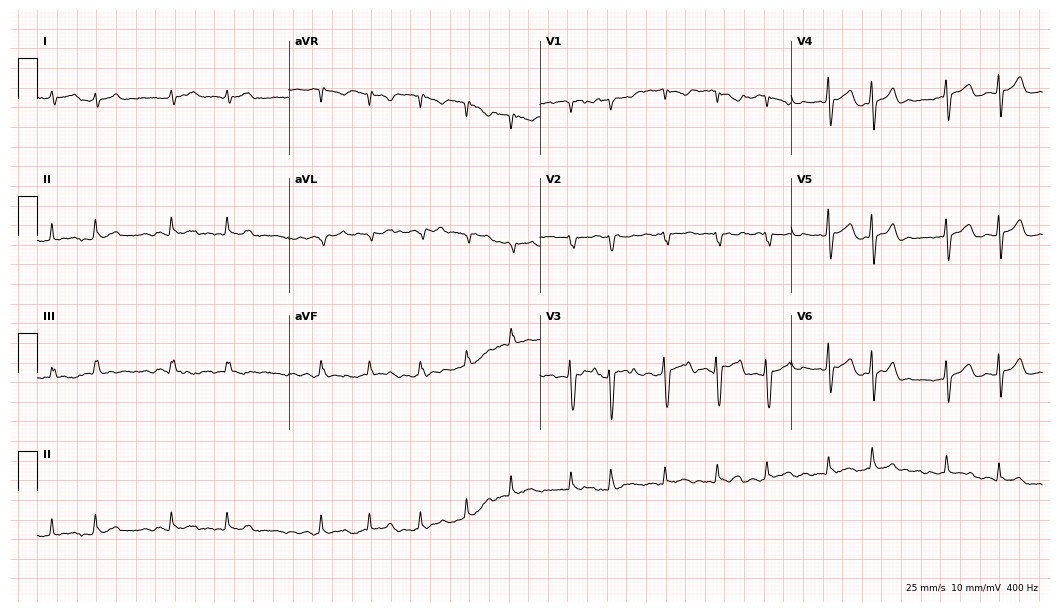
12-lead ECG from a male patient, 83 years old. Screened for six findings — first-degree AV block, right bundle branch block, left bundle branch block, sinus bradycardia, atrial fibrillation, sinus tachycardia — none is recorded.